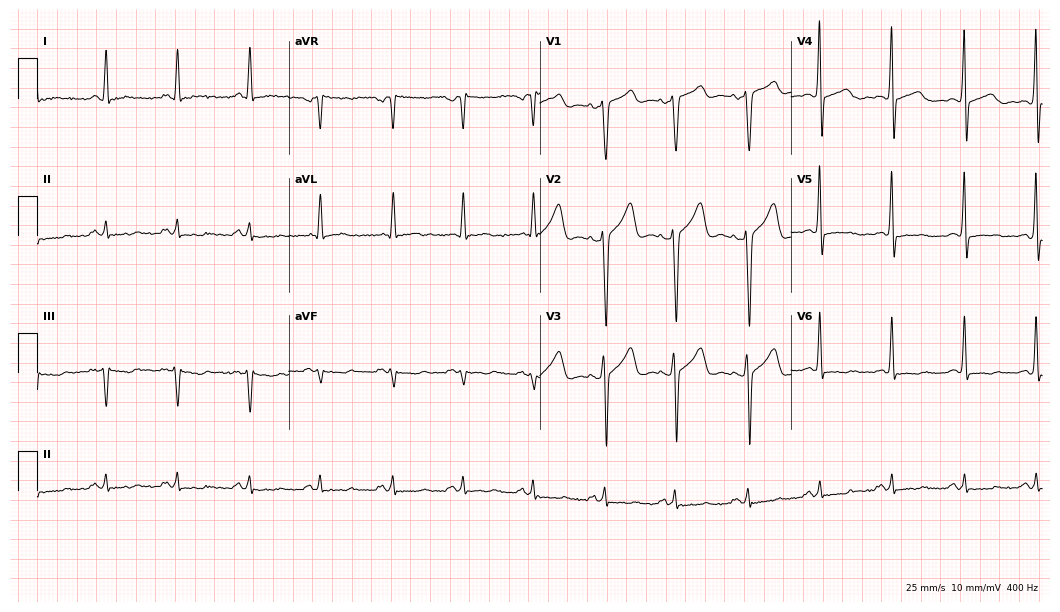
ECG — a male patient, 50 years old. Screened for six findings — first-degree AV block, right bundle branch block, left bundle branch block, sinus bradycardia, atrial fibrillation, sinus tachycardia — none is recorded. Findings outside these six are not listed.